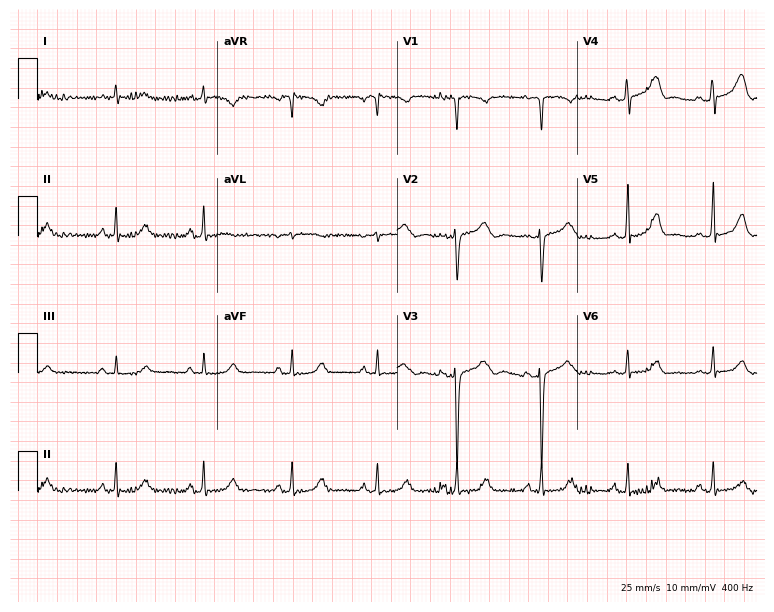
ECG (7.3-second recording at 400 Hz) — a woman, 30 years old. Labelled as a normal ECG.